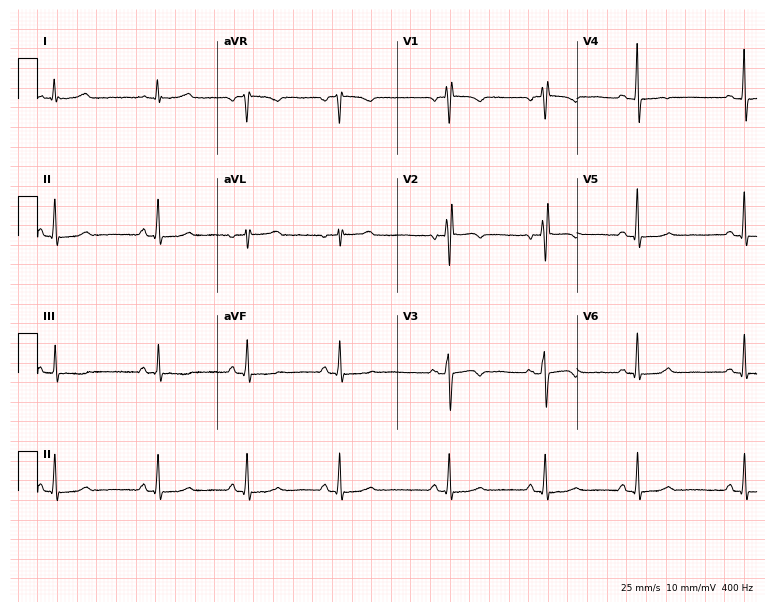
ECG — a female, 56 years old. Screened for six findings — first-degree AV block, right bundle branch block (RBBB), left bundle branch block (LBBB), sinus bradycardia, atrial fibrillation (AF), sinus tachycardia — none is recorded.